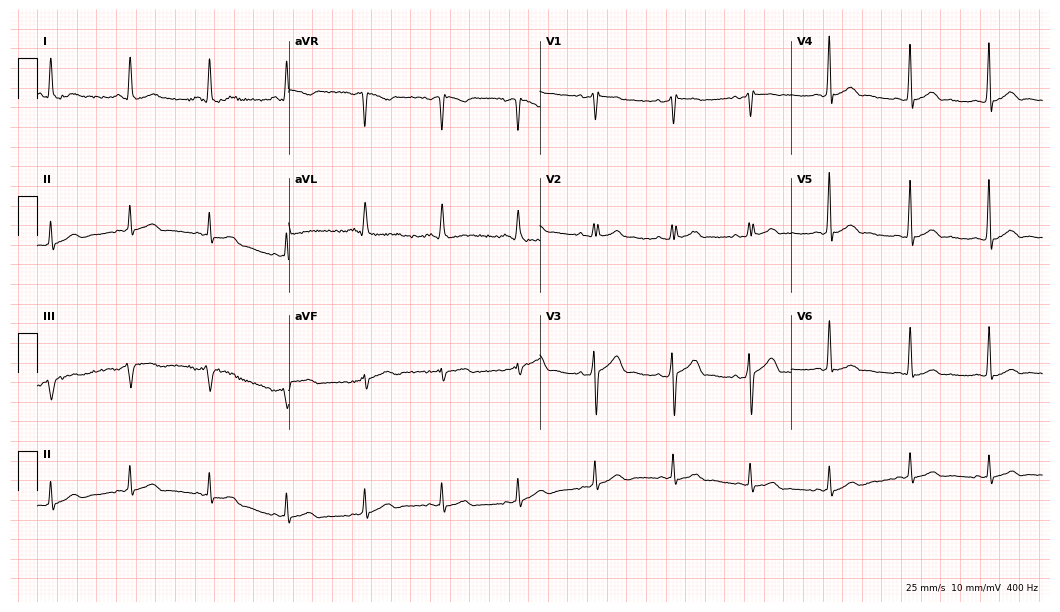
12-lead ECG from a 38-year-old male. Labelled as a normal ECG.